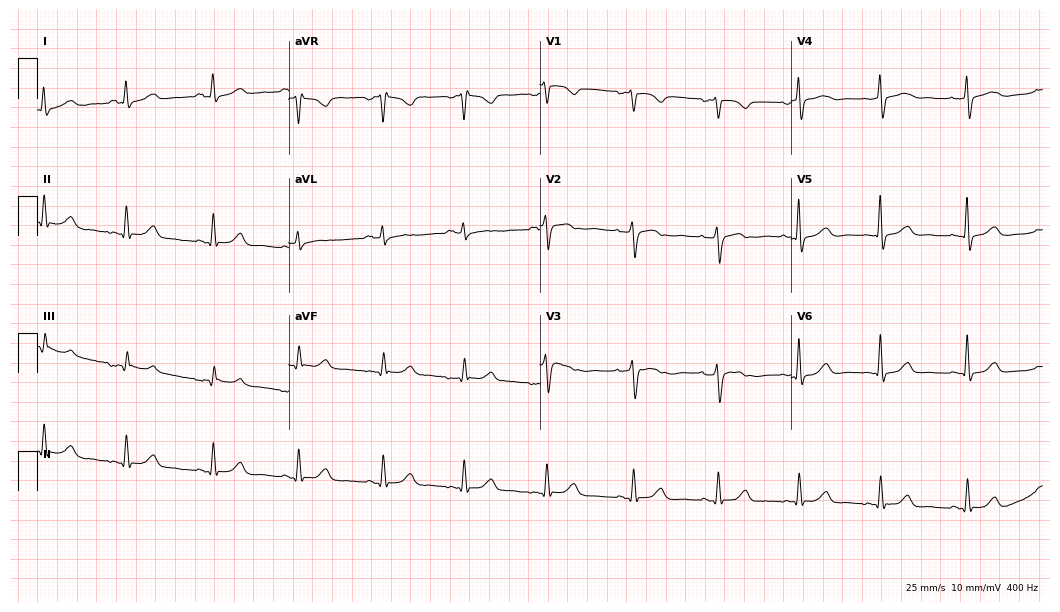
Resting 12-lead electrocardiogram (10.2-second recording at 400 Hz). Patient: a female, 50 years old. None of these six findings is recorded: first-degree AV block, right bundle branch block (RBBB), left bundle branch block (LBBB), sinus bradycardia, atrial fibrillation (AF), sinus tachycardia. Only these six findings were labelled.